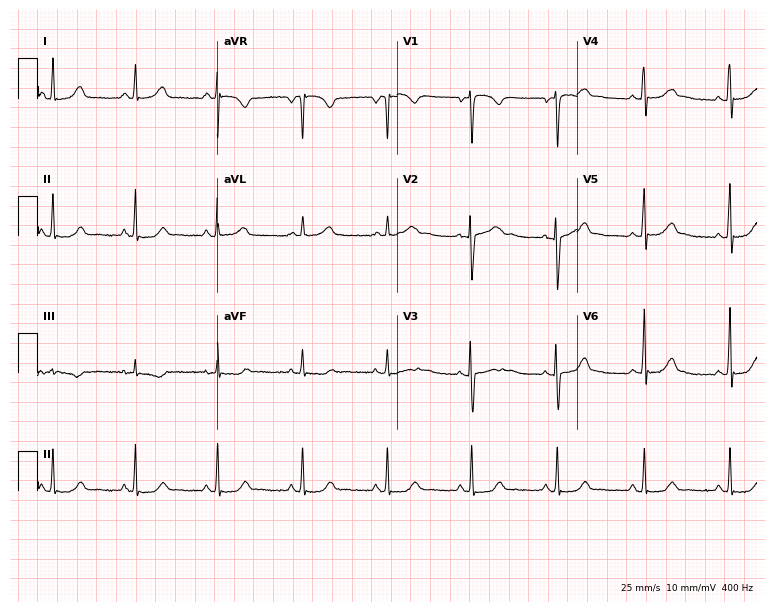
Standard 12-lead ECG recorded from a female patient, 19 years old. None of these six findings is recorded: first-degree AV block, right bundle branch block, left bundle branch block, sinus bradycardia, atrial fibrillation, sinus tachycardia.